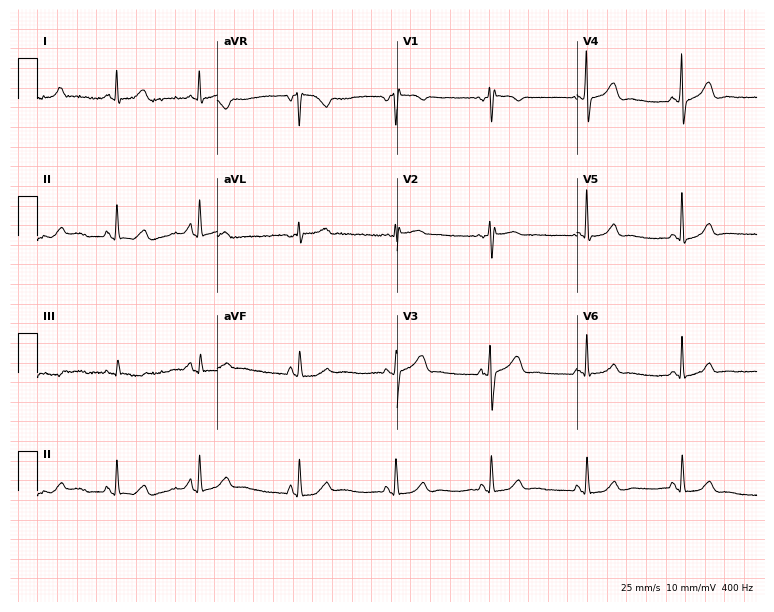
Electrocardiogram (7.3-second recording at 400 Hz), a woman, 55 years old. Overall reading on record: normal ECG.